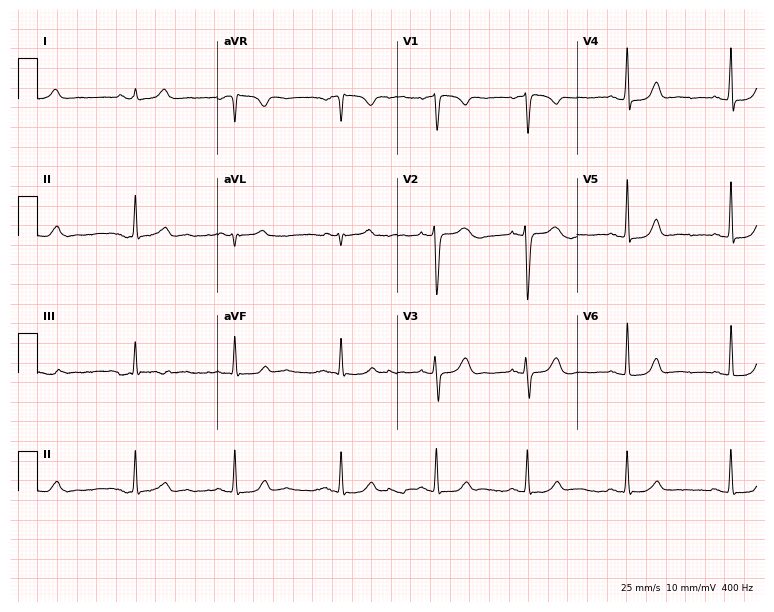
12-lead ECG from a female, 25 years old (7.3-second recording at 400 Hz). Recorded interpretation: within normal limits.